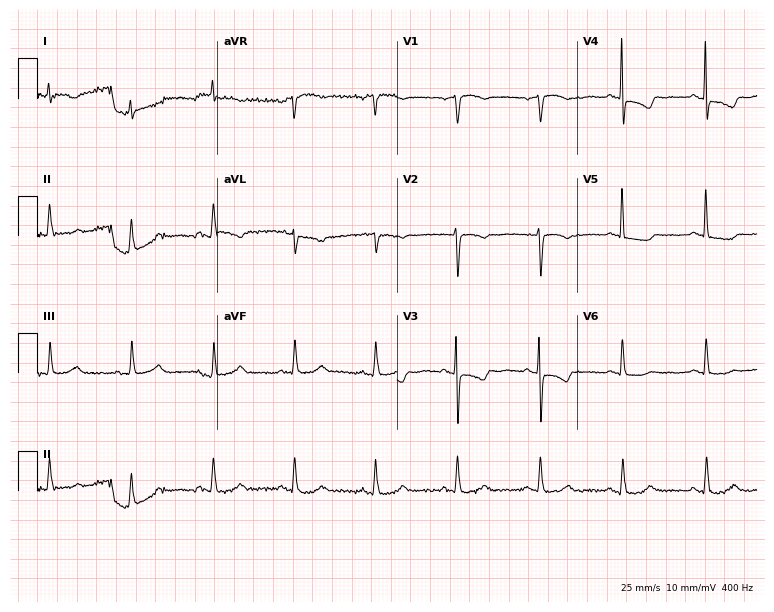
Electrocardiogram (7.3-second recording at 400 Hz), an 84-year-old female patient. Of the six screened findings (first-degree AV block, right bundle branch block (RBBB), left bundle branch block (LBBB), sinus bradycardia, atrial fibrillation (AF), sinus tachycardia), none is recorded.